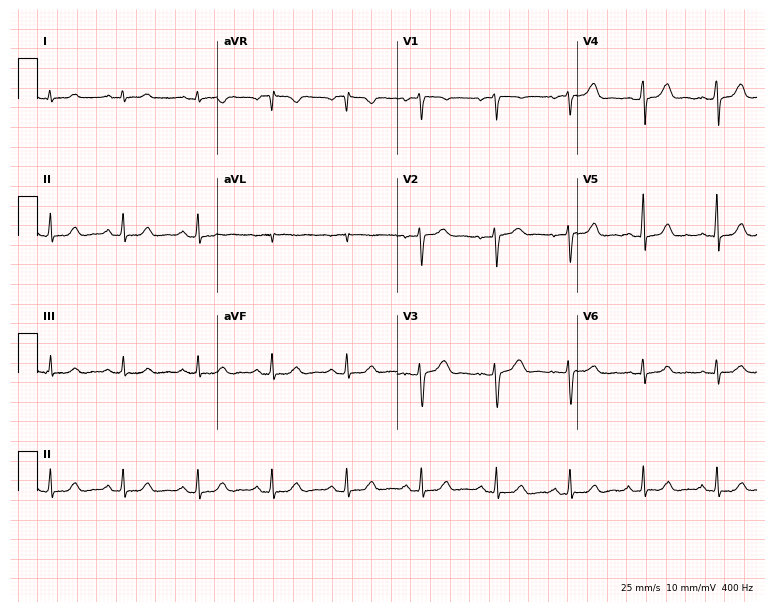
12-lead ECG from a woman, 37 years old. Recorded interpretation: within normal limits.